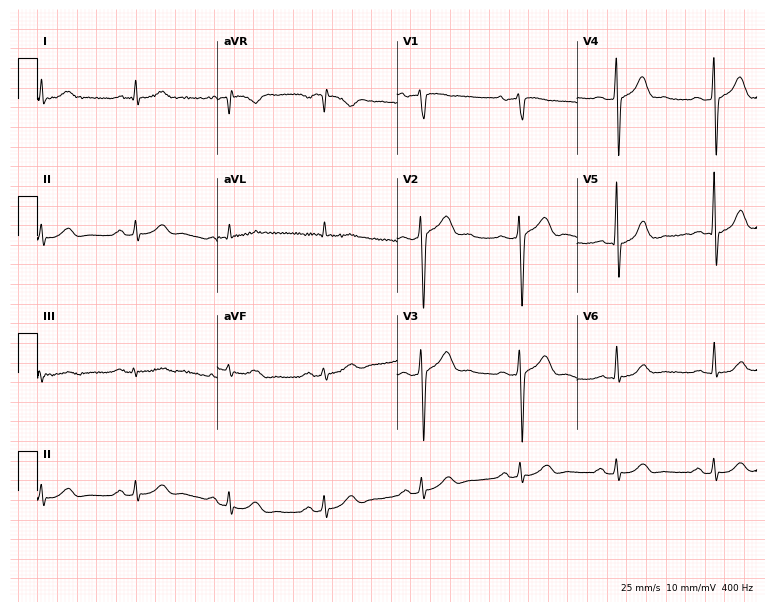
Standard 12-lead ECG recorded from a man, 62 years old (7.3-second recording at 400 Hz). None of these six findings is recorded: first-degree AV block, right bundle branch block (RBBB), left bundle branch block (LBBB), sinus bradycardia, atrial fibrillation (AF), sinus tachycardia. Other findings, if any, are not listed.